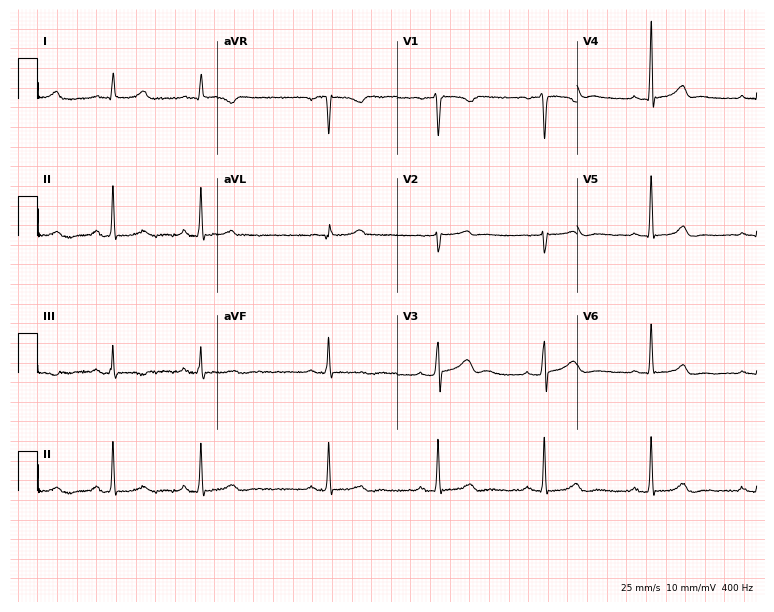
12-lead ECG (7.3-second recording at 400 Hz) from a female patient, 35 years old. Screened for six findings — first-degree AV block, right bundle branch block, left bundle branch block, sinus bradycardia, atrial fibrillation, sinus tachycardia — none is recorded. Other findings, if any, are not listed.